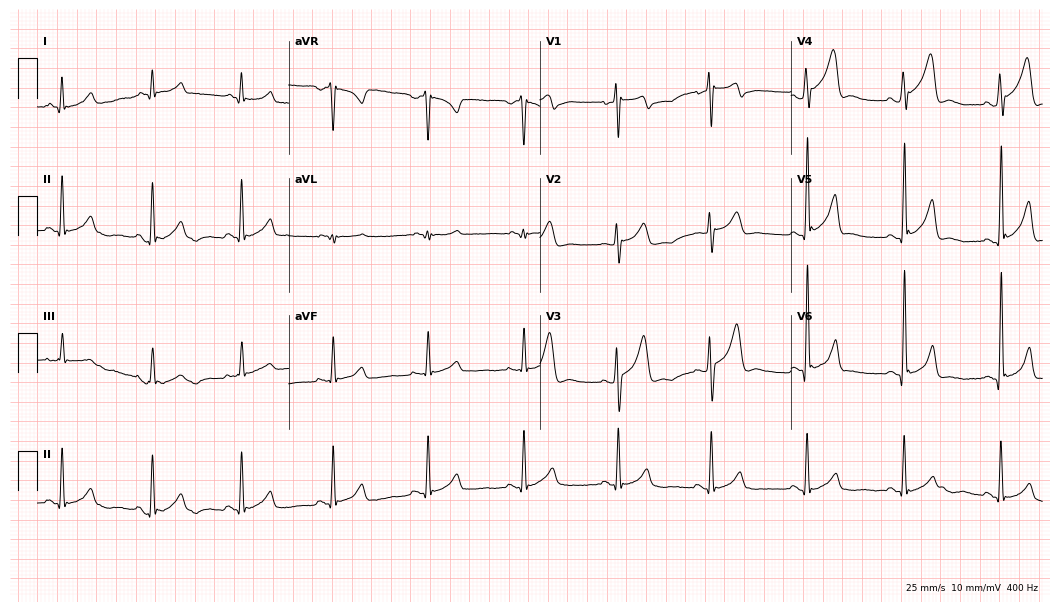
Electrocardiogram (10.2-second recording at 400 Hz), a 36-year-old man. Overall reading on record: normal ECG.